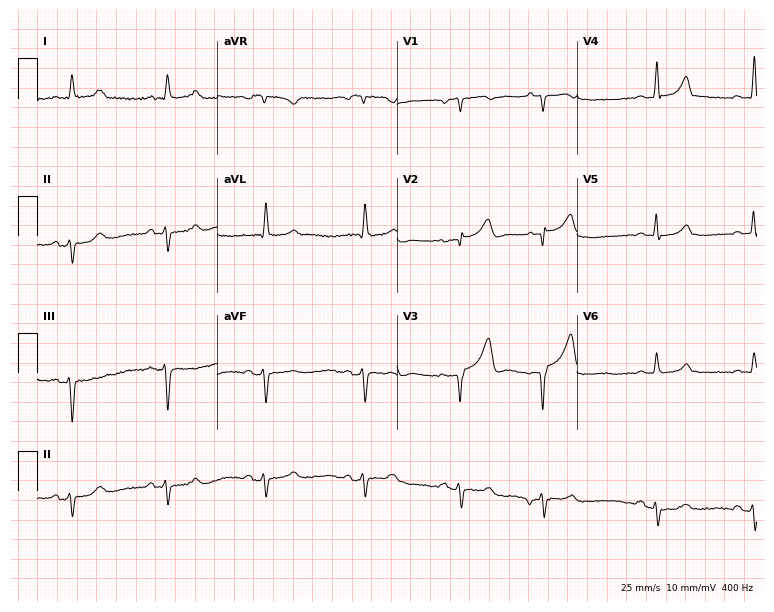
12-lead ECG from a 76-year-old male patient. No first-degree AV block, right bundle branch block (RBBB), left bundle branch block (LBBB), sinus bradycardia, atrial fibrillation (AF) or sinus tachycardia recorded for this tracing.